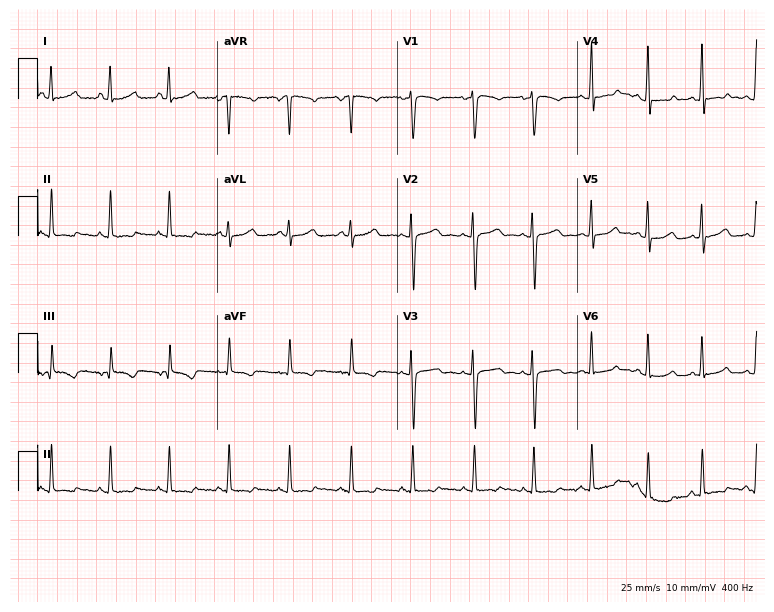
ECG (7.3-second recording at 400 Hz) — a female, 27 years old. Findings include sinus tachycardia (a sinus rate of 100 beats per minute or more).